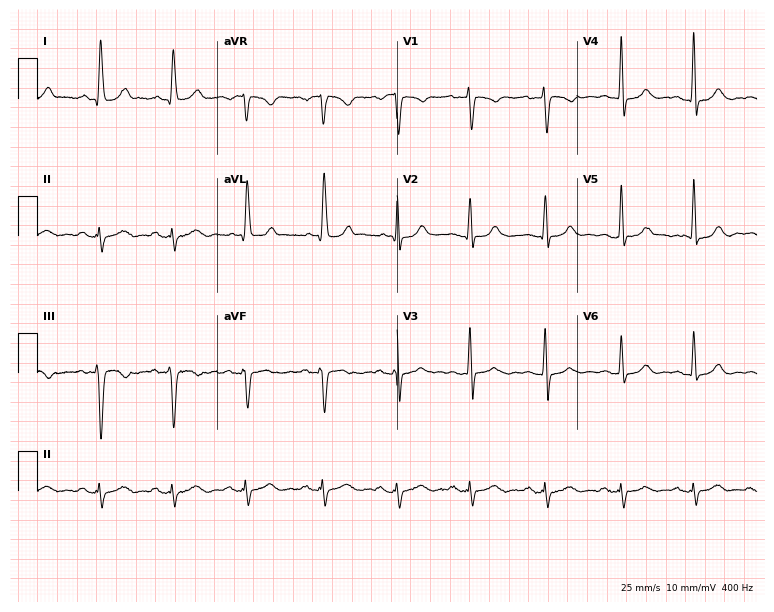
12-lead ECG from a 53-year-old female patient. Screened for six findings — first-degree AV block, right bundle branch block, left bundle branch block, sinus bradycardia, atrial fibrillation, sinus tachycardia — none is recorded.